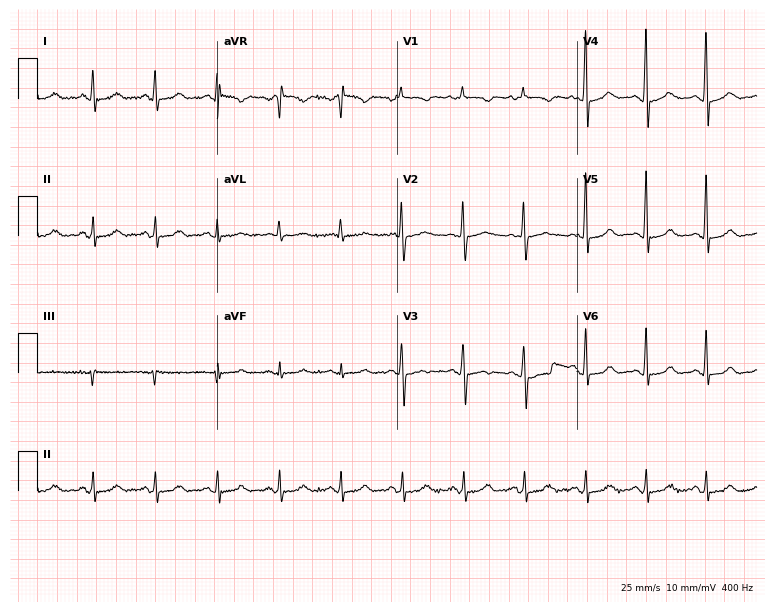
Standard 12-lead ECG recorded from a female, 59 years old. Read as a normal ECG.